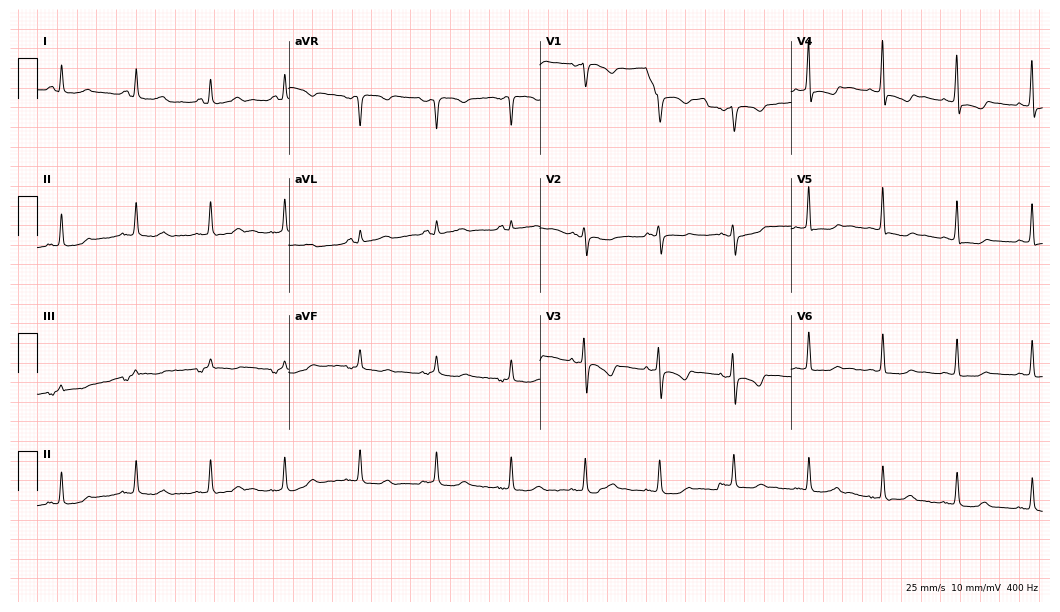
12-lead ECG from a female patient, 62 years old (10.2-second recording at 400 Hz). No first-degree AV block, right bundle branch block (RBBB), left bundle branch block (LBBB), sinus bradycardia, atrial fibrillation (AF) or sinus tachycardia recorded for this tracing.